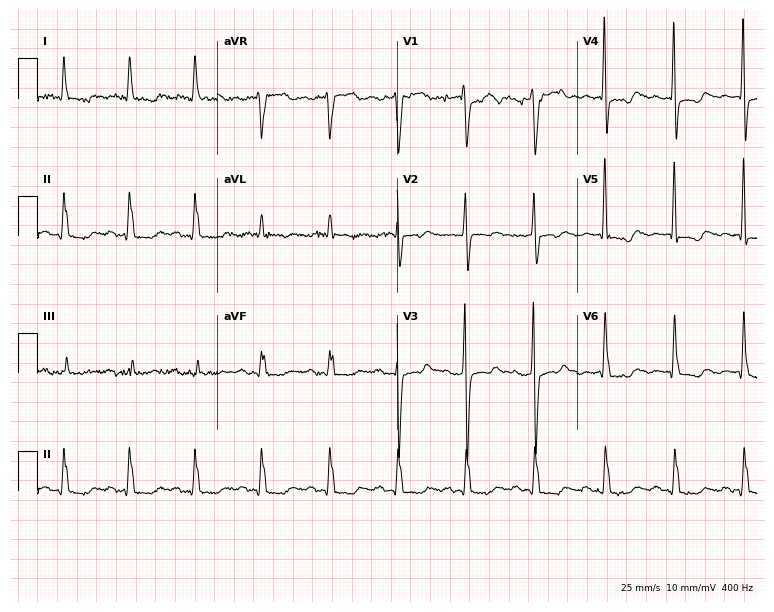
12-lead ECG from a 77-year-old male (7.3-second recording at 400 Hz). No first-degree AV block, right bundle branch block, left bundle branch block, sinus bradycardia, atrial fibrillation or sinus tachycardia recorded for this tracing.